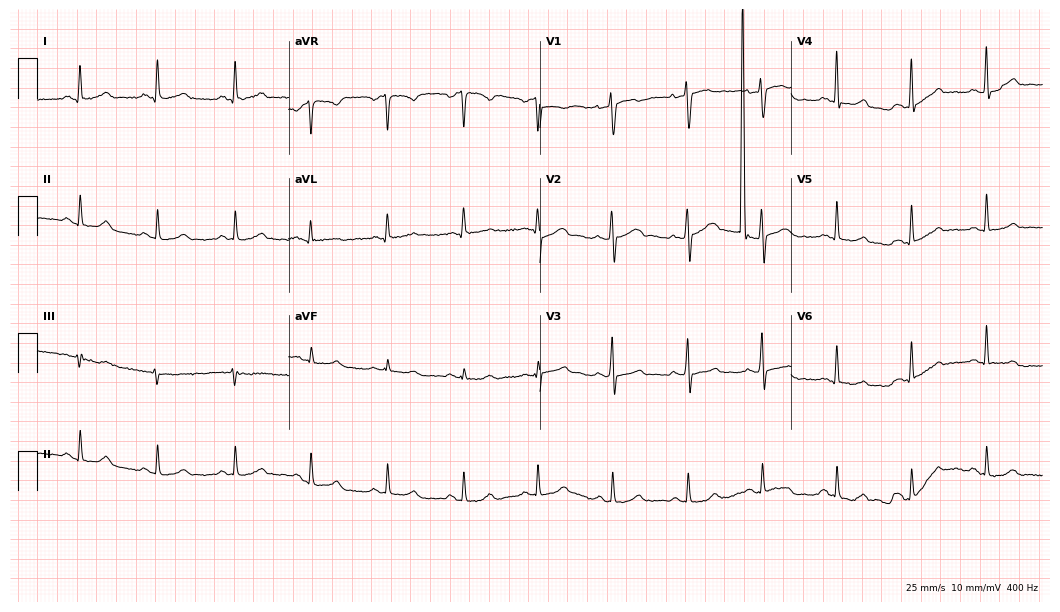
Electrocardiogram, a 41-year-old female patient. Overall reading on record: normal ECG.